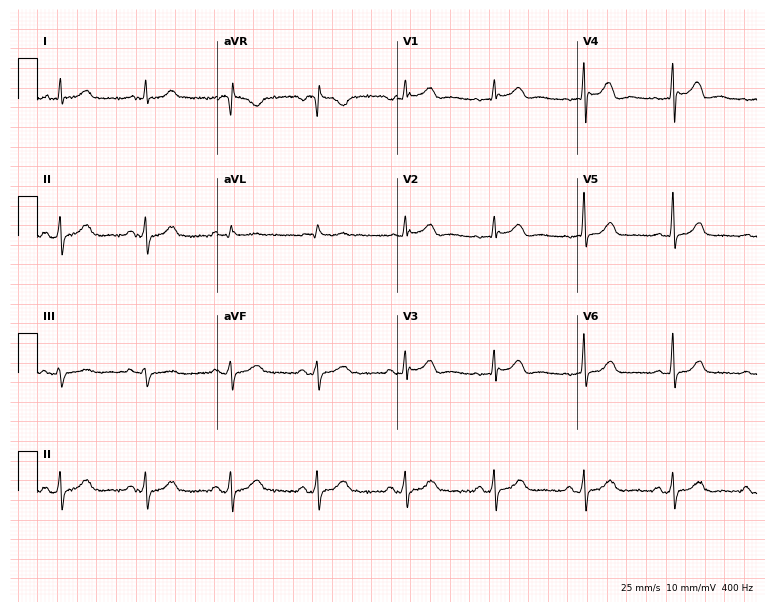
ECG (7.3-second recording at 400 Hz) — a male, 65 years old. Screened for six findings — first-degree AV block, right bundle branch block (RBBB), left bundle branch block (LBBB), sinus bradycardia, atrial fibrillation (AF), sinus tachycardia — none is recorded. Findings outside these six are not listed.